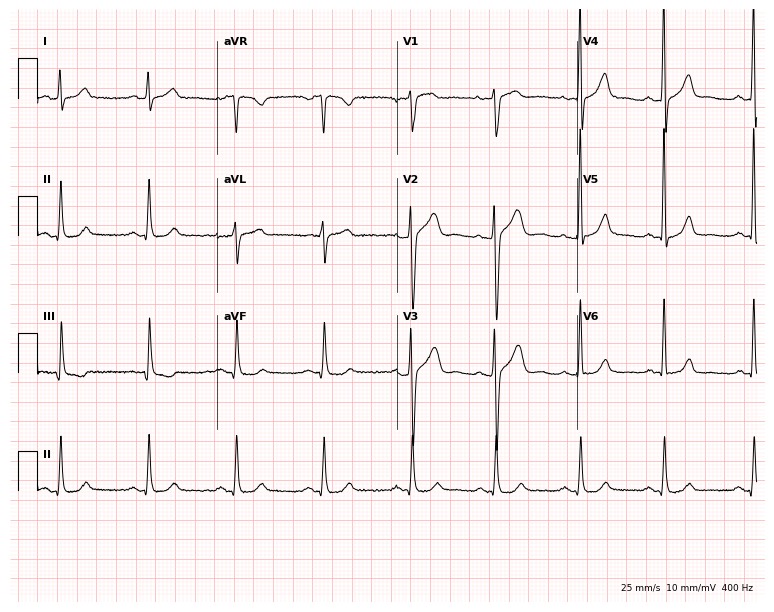
ECG (7.3-second recording at 400 Hz) — a 41-year-old male patient. Labelled as a normal ECG.